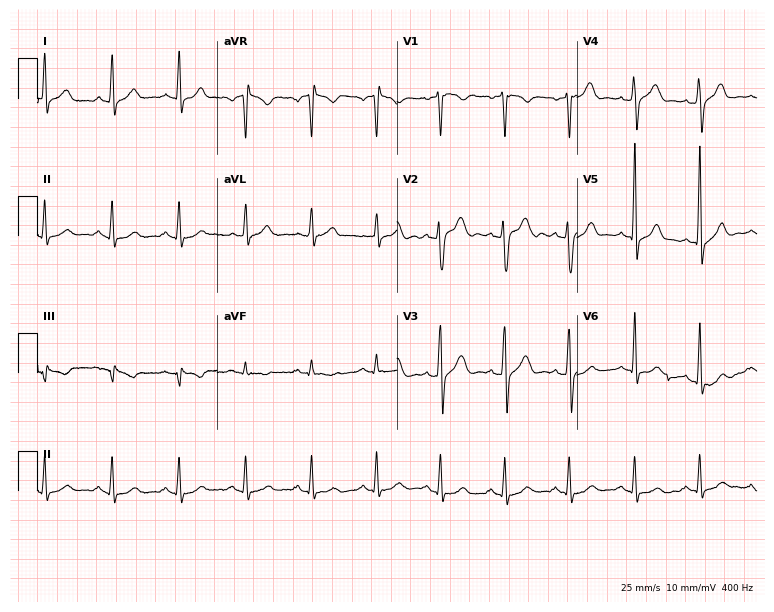
Resting 12-lead electrocardiogram. Patient: a male, 47 years old. Read as a normal ECG.